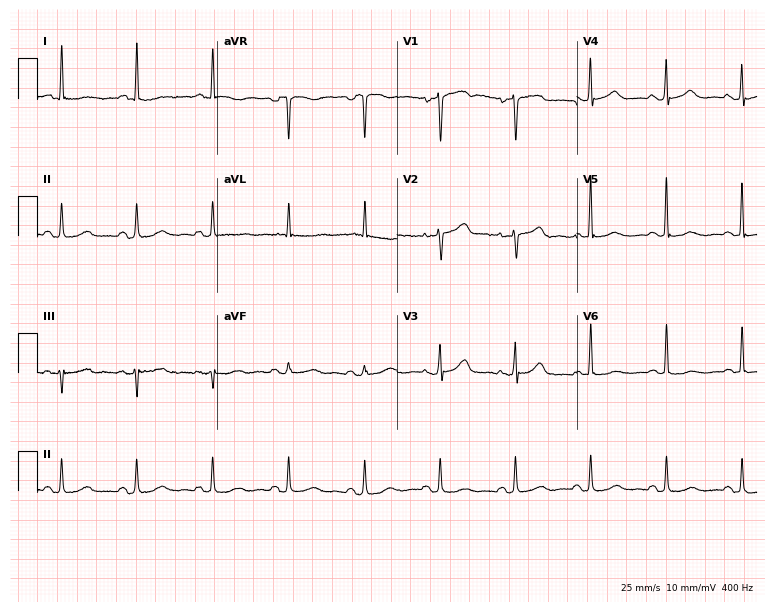
Resting 12-lead electrocardiogram. Patient: a woman, 68 years old. Read as a normal ECG.